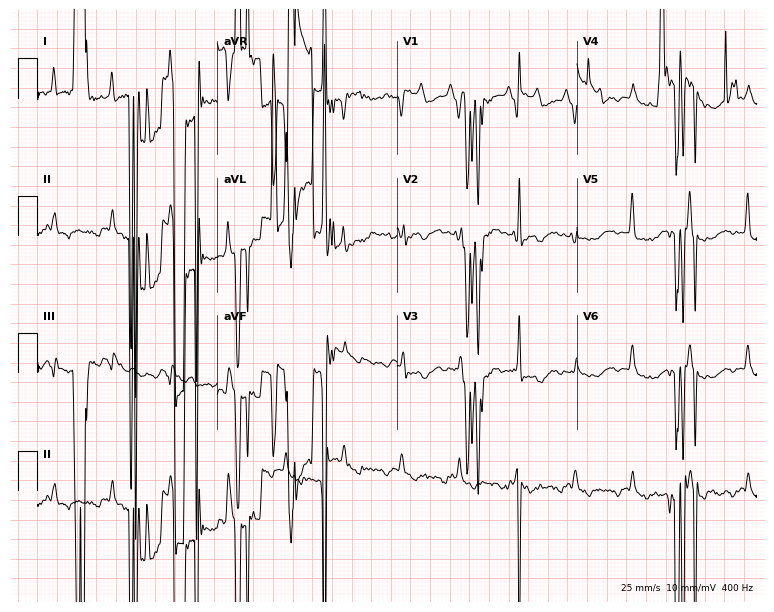
Electrocardiogram, a 68-year-old man. Of the six screened findings (first-degree AV block, right bundle branch block, left bundle branch block, sinus bradycardia, atrial fibrillation, sinus tachycardia), none is recorded.